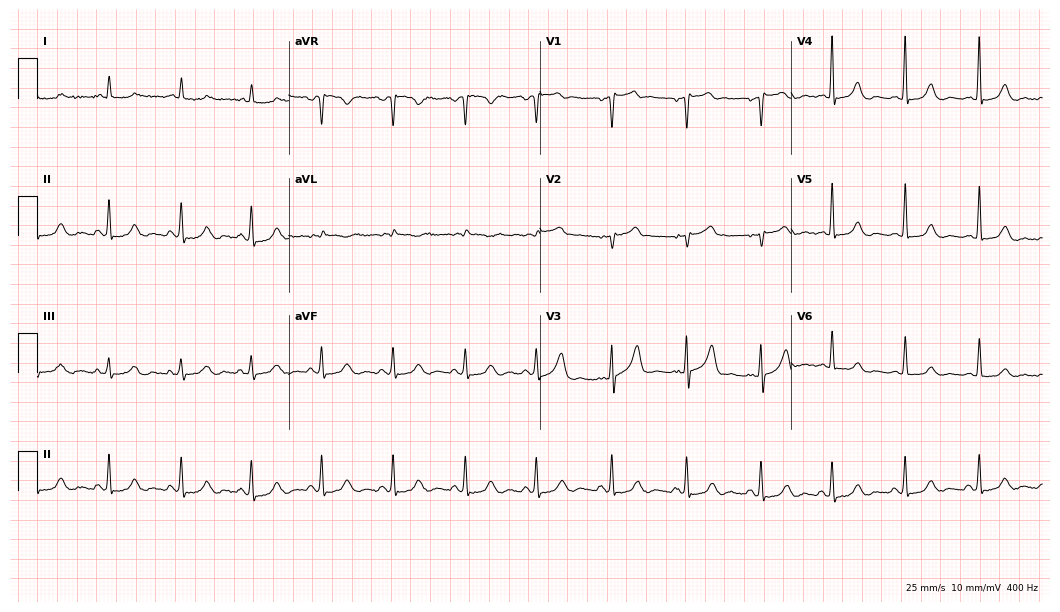
Standard 12-lead ECG recorded from a 62-year-old male patient. Read as a normal ECG.